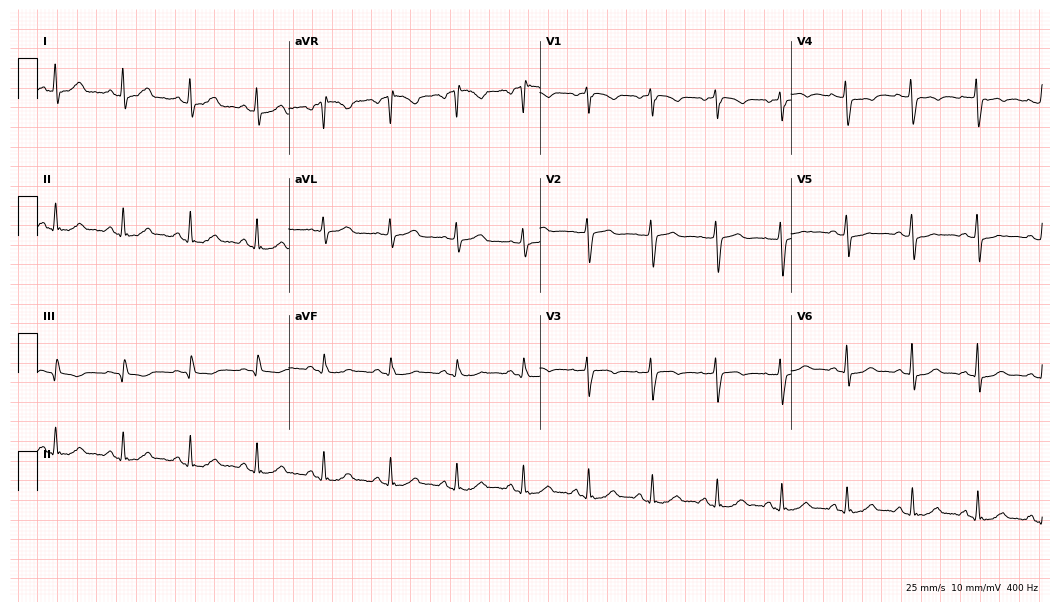
ECG — a 53-year-old woman. Labelled as a normal ECG.